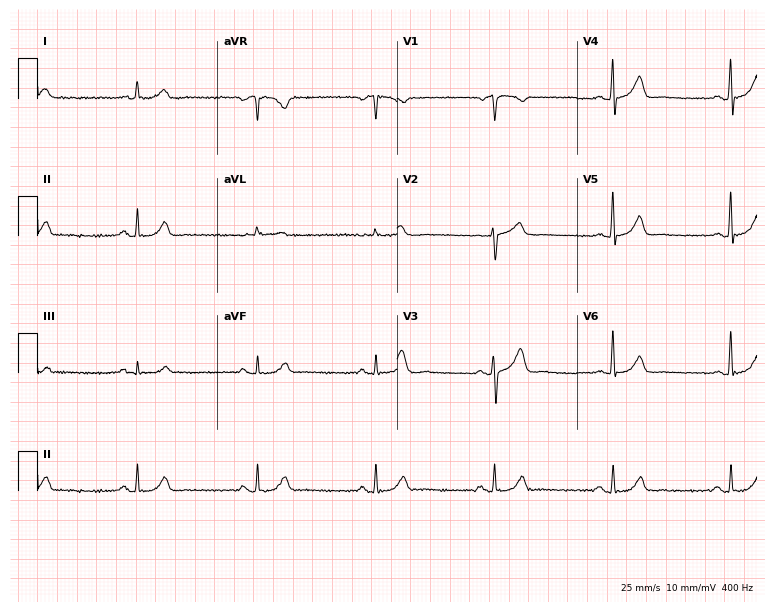
Electrocardiogram (7.3-second recording at 400 Hz), a male, 73 years old. Interpretation includes sinus bradycardia (a sinus rate of 50 beats per minute or less).